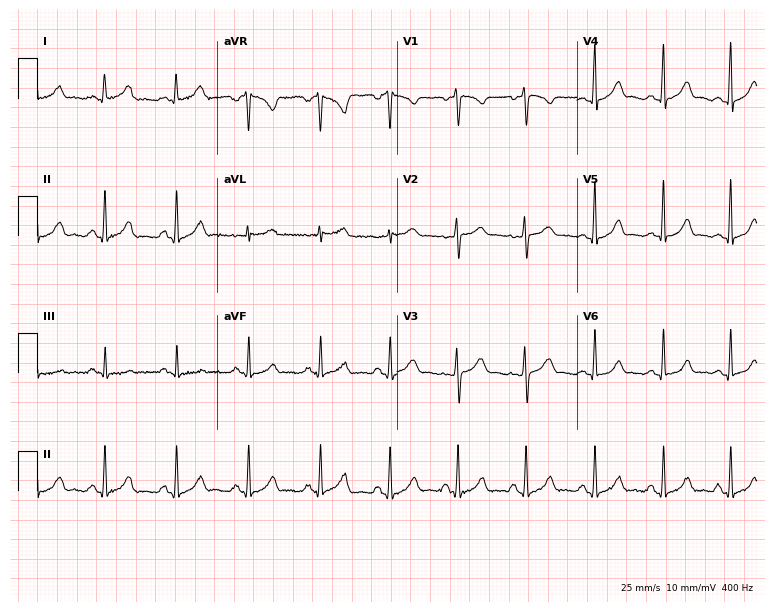
Standard 12-lead ECG recorded from a man, 27 years old. Read as a normal ECG.